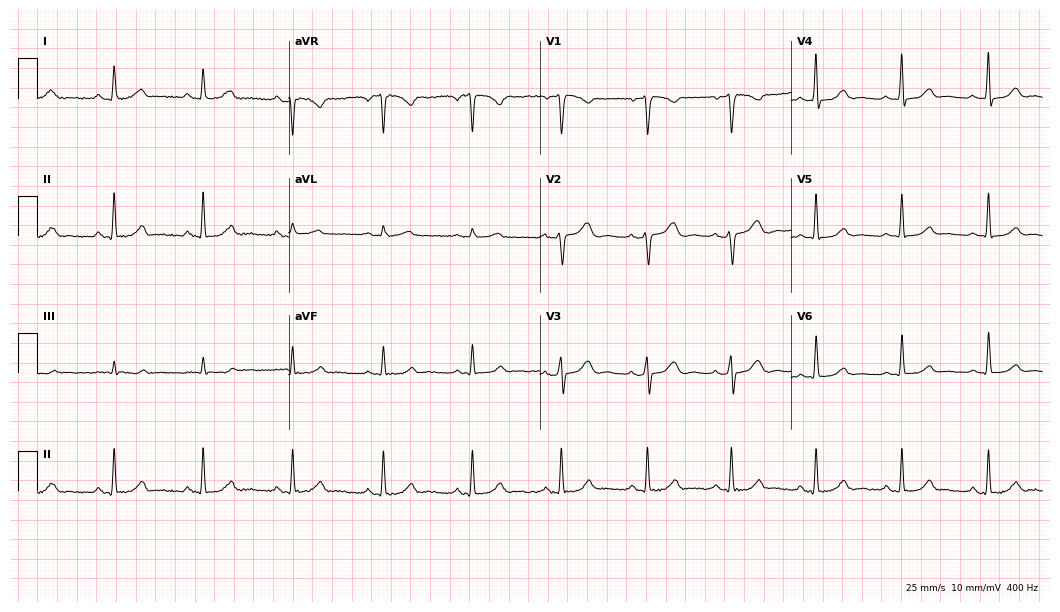
12-lead ECG from a 53-year-old female (10.2-second recording at 400 Hz). No first-degree AV block, right bundle branch block, left bundle branch block, sinus bradycardia, atrial fibrillation or sinus tachycardia recorded for this tracing. Only these six findings were labelled.